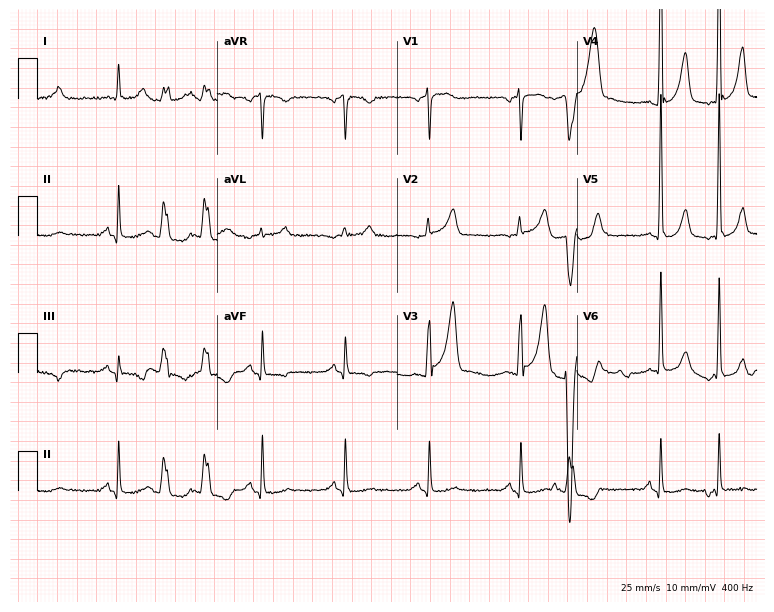
ECG — a 70-year-old male. Screened for six findings — first-degree AV block, right bundle branch block (RBBB), left bundle branch block (LBBB), sinus bradycardia, atrial fibrillation (AF), sinus tachycardia — none is recorded. Findings outside these six are not listed.